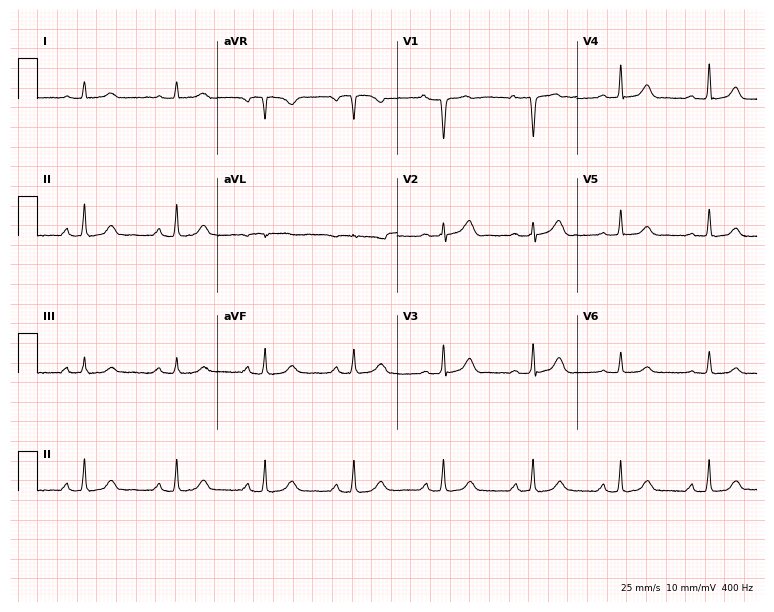
Standard 12-lead ECG recorded from a woman, 47 years old (7.3-second recording at 400 Hz). Read as a normal ECG.